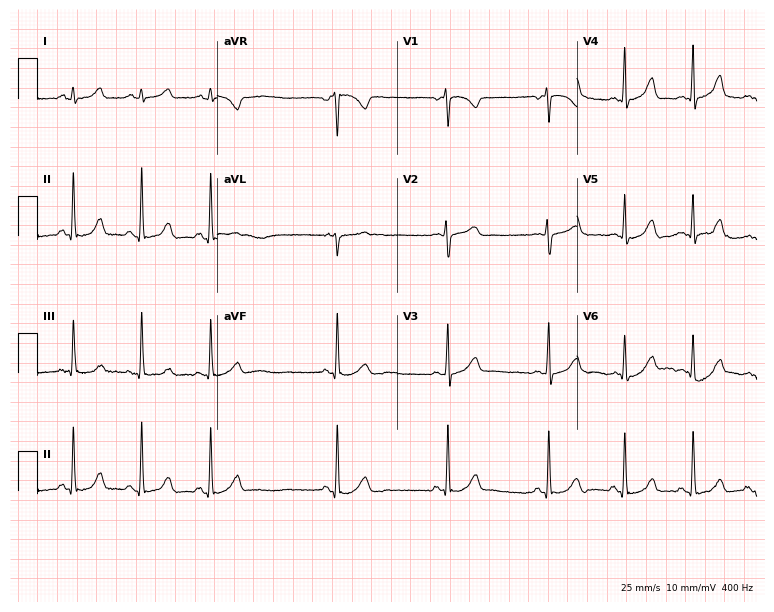
Electrocardiogram (7.3-second recording at 400 Hz), a female patient, 19 years old. Overall reading on record: normal ECG.